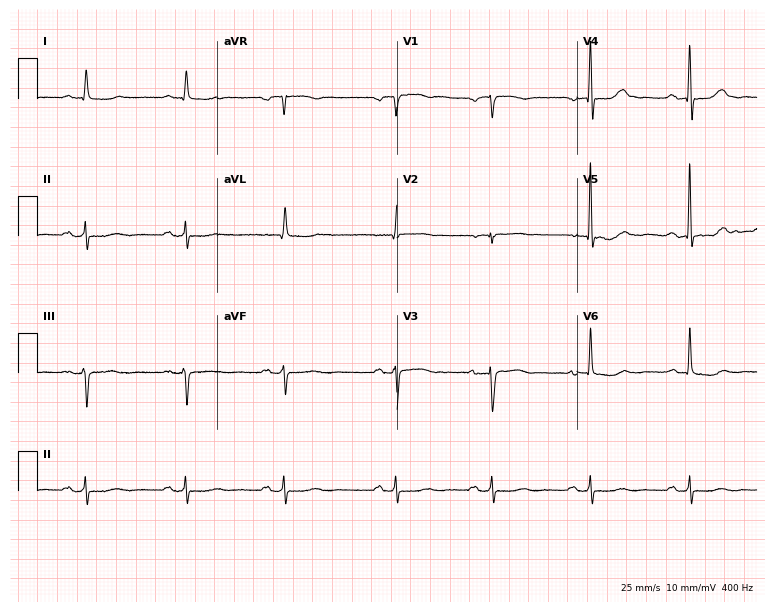
ECG (7.3-second recording at 400 Hz) — a 67-year-old female. Screened for six findings — first-degree AV block, right bundle branch block (RBBB), left bundle branch block (LBBB), sinus bradycardia, atrial fibrillation (AF), sinus tachycardia — none is recorded.